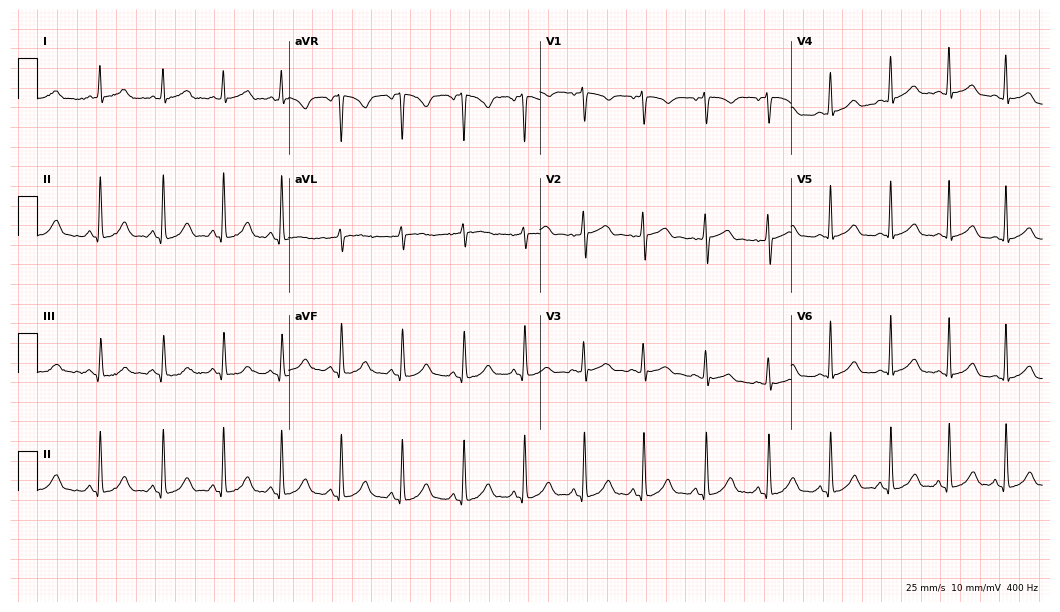
Electrocardiogram, a female, 21 years old. Overall reading on record: normal ECG.